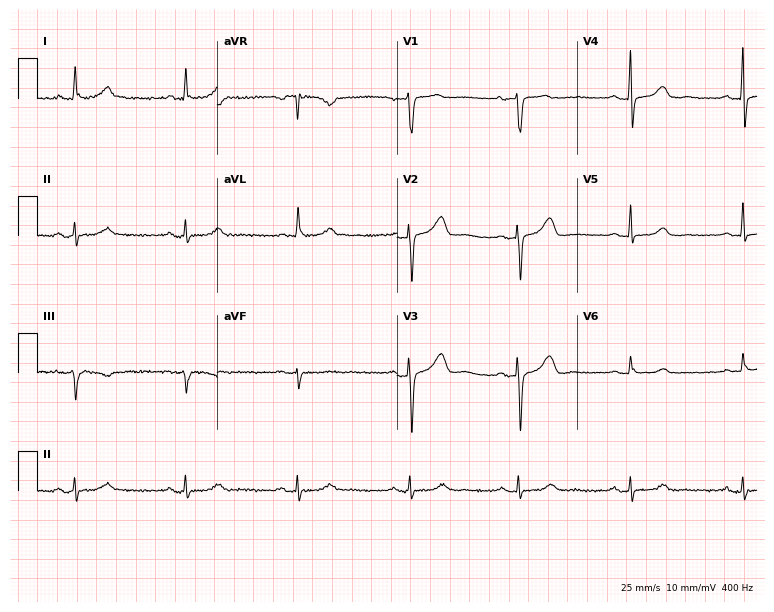
Resting 12-lead electrocardiogram (7.3-second recording at 400 Hz). Patient: a female, 71 years old. Read as a normal ECG.